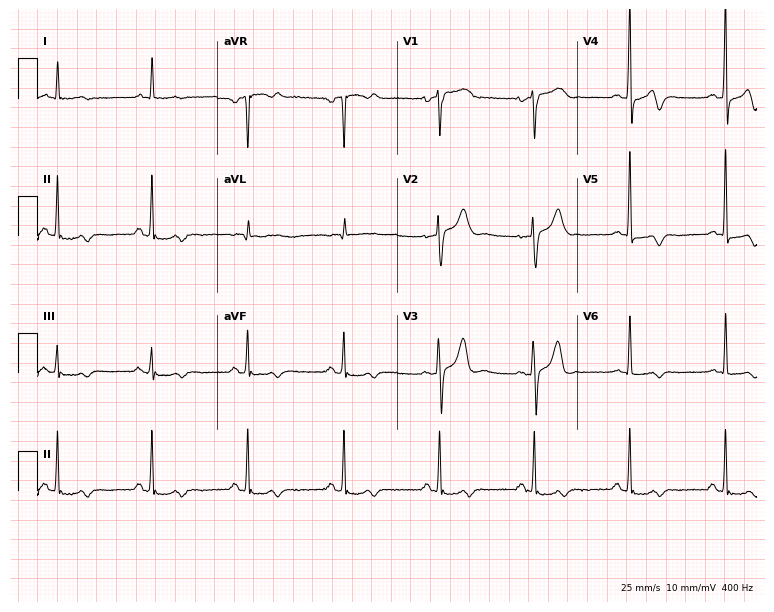
ECG (7.3-second recording at 400 Hz) — a man, 74 years old. Screened for six findings — first-degree AV block, right bundle branch block, left bundle branch block, sinus bradycardia, atrial fibrillation, sinus tachycardia — none is recorded. Only these six findings were labelled.